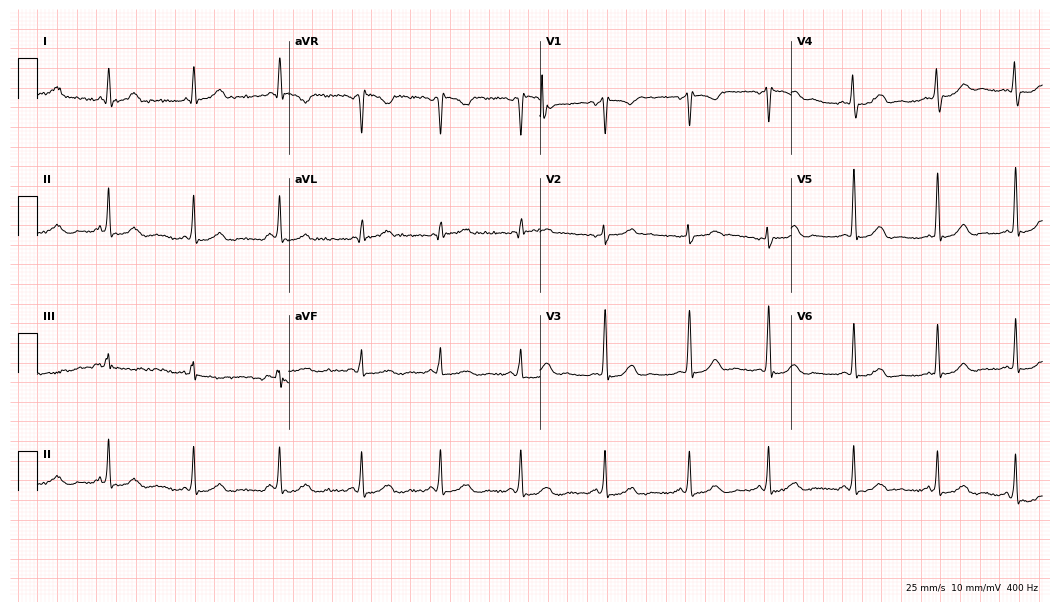
Resting 12-lead electrocardiogram (10.2-second recording at 400 Hz). Patient: a 44-year-old female. None of these six findings is recorded: first-degree AV block, right bundle branch block, left bundle branch block, sinus bradycardia, atrial fibrillation, sinus tachycardia.